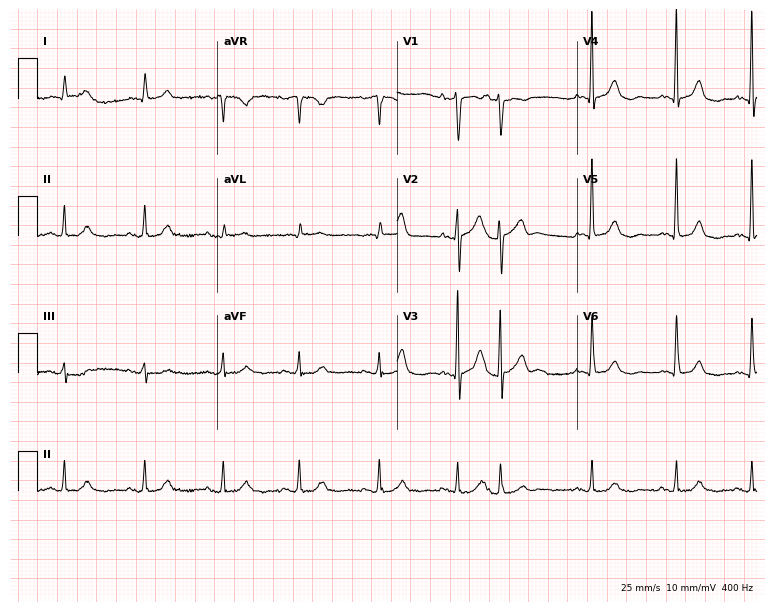
12-lead ECG from a female patient, 78 years old. No first-degree AV block, right bundle branch block (RBBB), left bundle branch block (LBBB), sinus bradycardia, atrial fibrillation (AF) or sinus tachycardia recorded for this tracing. Only these six findings were labelled.